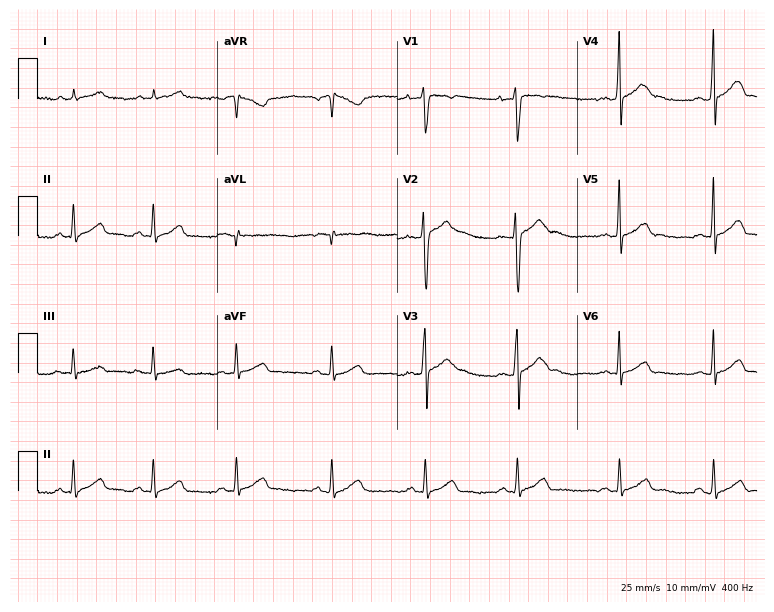
Standard 12-lead ECG recorded from a male patient, 21 years old (7.3-second recording at 400 Hz). Read as a normal ECG.